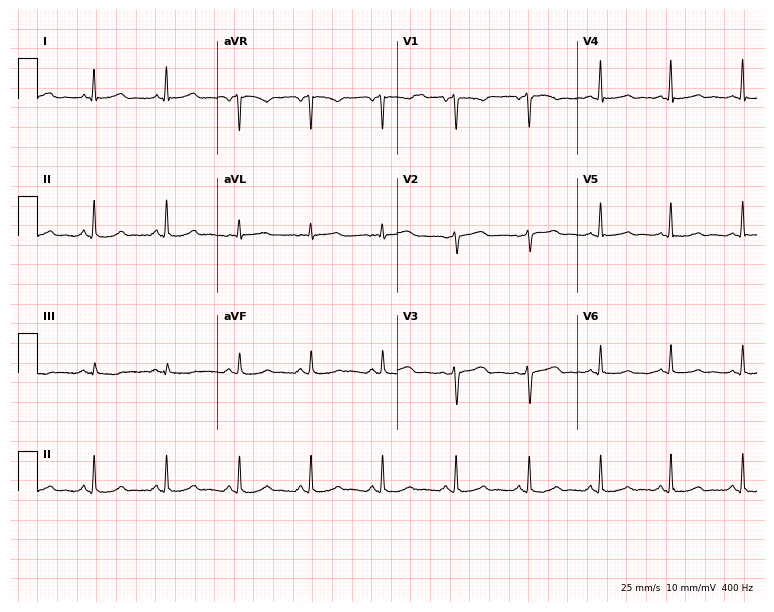
12-lead ECG from a female, 50 years old (7.3-second recording at 400 Hz). No first-degree AV block, right bundle branch block, left bundle branch block, sinus bradycardia, atrial fibrillation or sinus tachycardia recorded for this tracing.